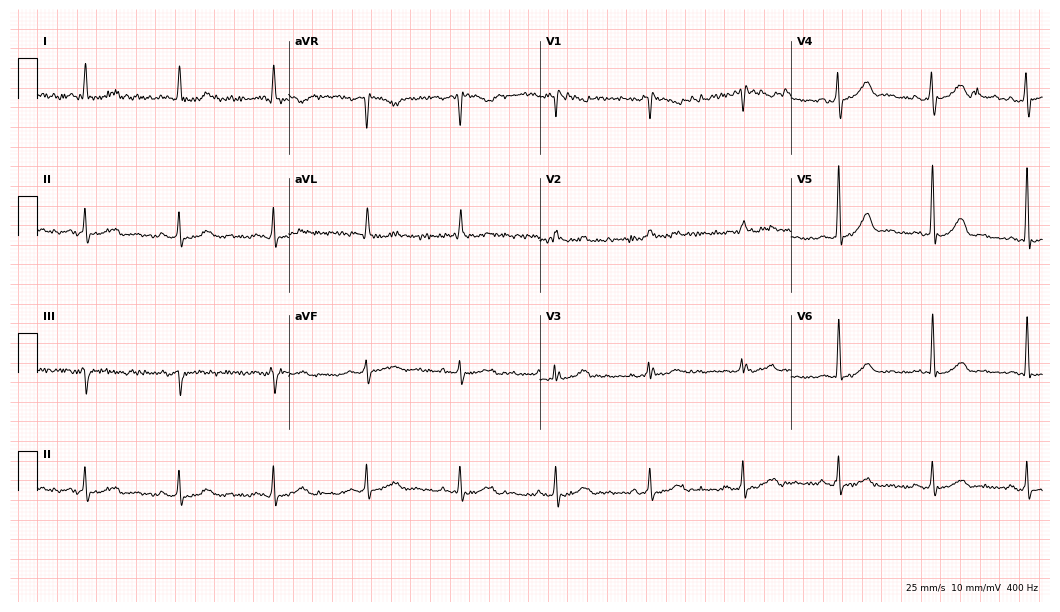
Resting 12-lead electrocardiogram. Patient: a 77-year-old male. None of these six findings is recorded: first-degree AV block, right bundle branch block, left bundle branch block, sinus bradycardia, atrial fibrillation, sinus tachycardia.